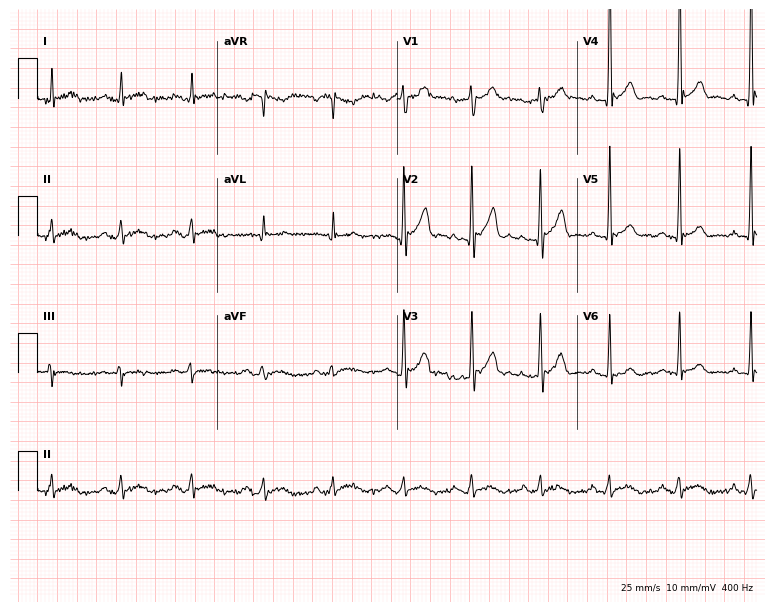
Standard 12-lead ECG recorded from a 40-year-old man. Read as a normal ECG.